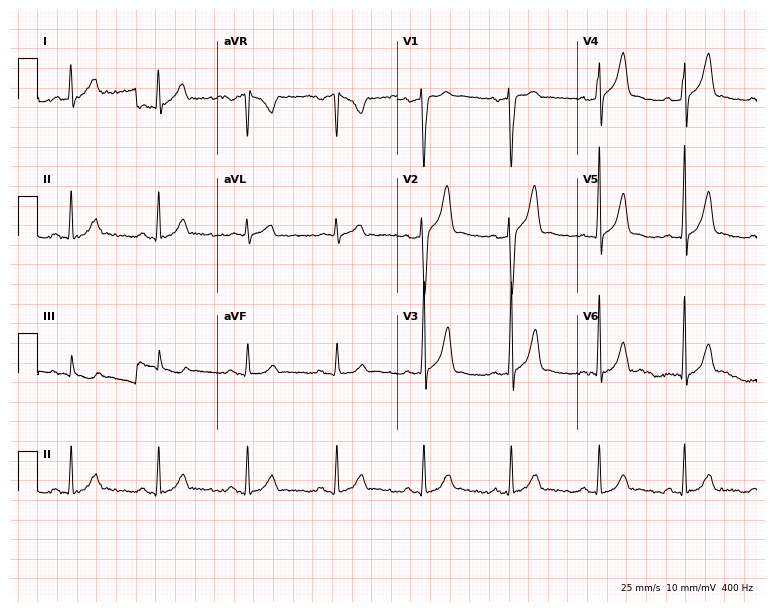
12-lead ECG from a 36-year-old man. No first-degree AV block, right bundle branch block (RBBB), left bundle branch block (LBBB), sinus bradycardia, atrial fibrillation (AF) or sinus tachycardia recorded for this tracing.